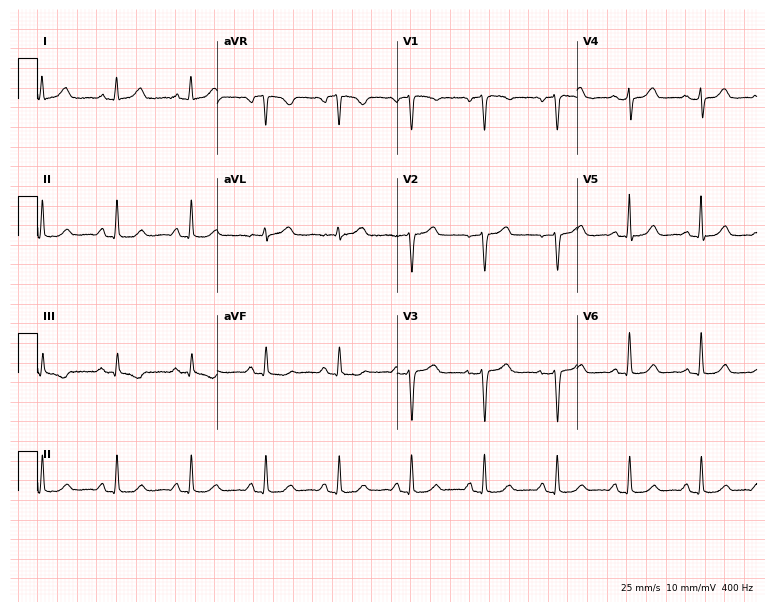
ECG (7.3-second recording at 400 Hz) — a female patient, 49 years old. Labelled as a normal ECG.